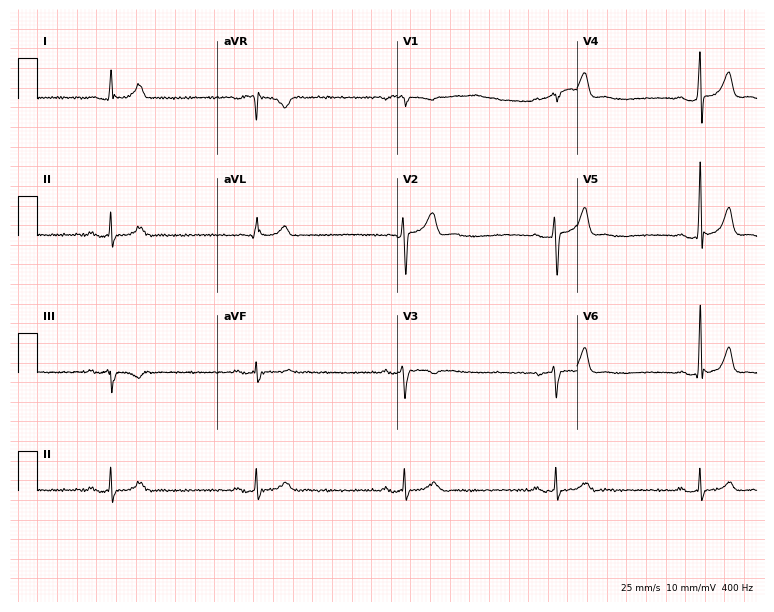
12-lead ECG from a male, 36 years old (7.3-second recording at 400 Hz). Shows sinus bradycardia (a sinus rate of 50 beats per minute or less).